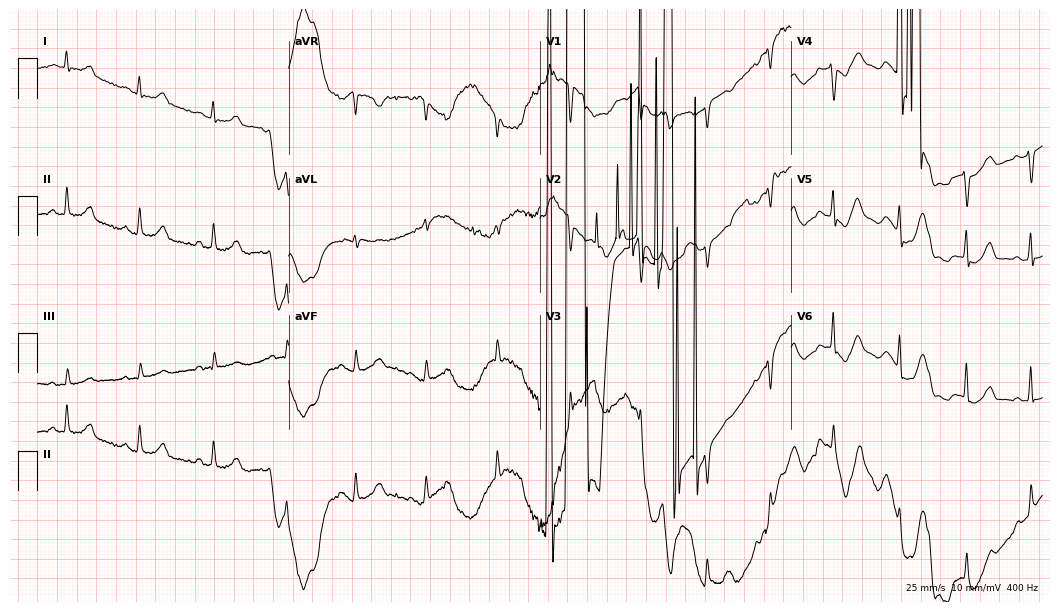
Resting 12-lead electrocardiogram. Patient: a 40-year-old female. None of these six findings is recorded: first-degree AV block, right bundle branch block, left bundle branch block, sinus bradycardia, atrial fibrillation, sinus tachycardia. Other findings, if any, are not listed.